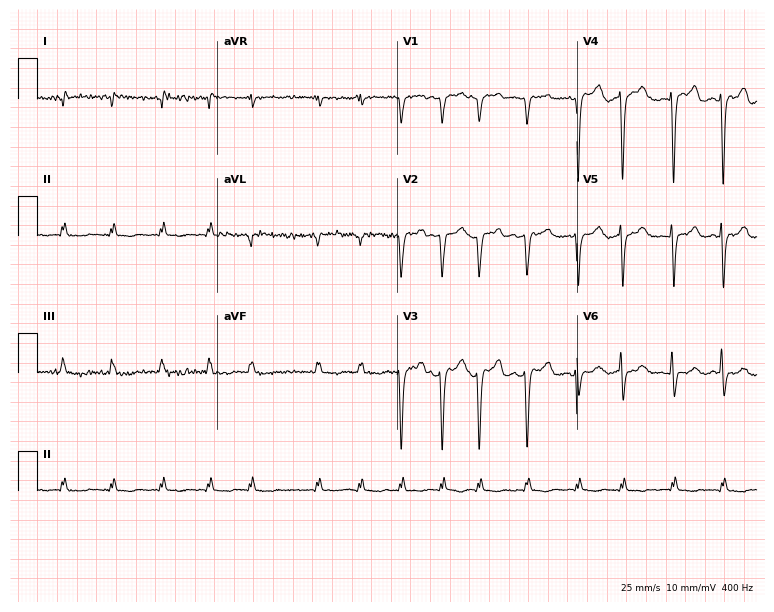
12-lead ECG from a female, 85 years old. Findings include atrial fibrillation.